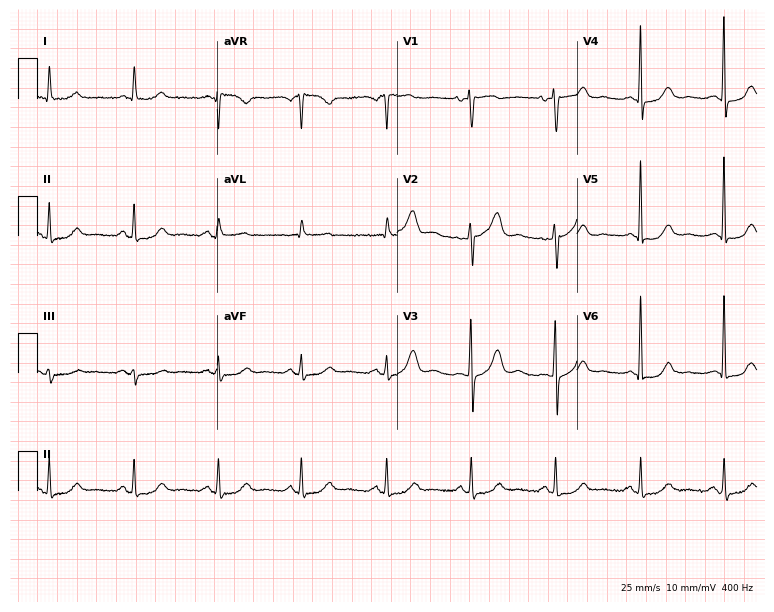
Standard 12-lead ECG recorded from a woman, 79 years old (7.3-second recording at 400 Hz). None of these six findings is recorded: first-degree AV block, right bundle branch block (RBBB), left bundle branch block (LBBB), sinus bradycardia, atrial fibrillation (AF), sinus tachycardia.